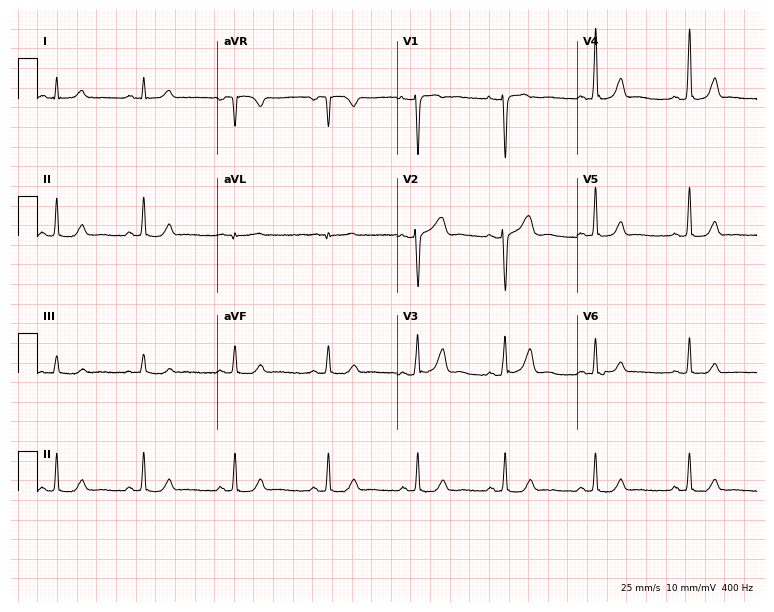
Standard 12-lead ECG recorded from a 39-year-old female patient (7.3-second recording at 400 Hz). Read as a normal ECG.